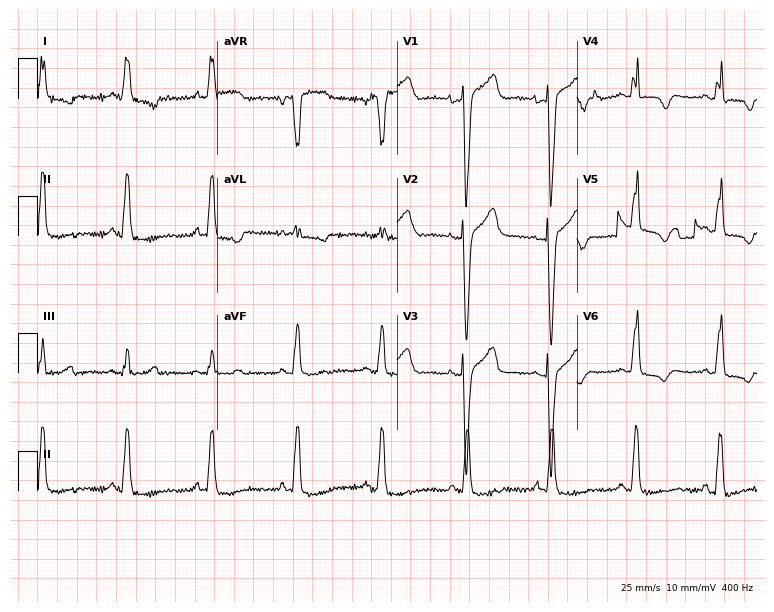
ECG (7.3-second recording at 400 Hz) — a 74-year-old woman. Screened for six findings — first-degree AV block, right bundle branch block, left bundle branch block, sinus bradycardia, atrial fibrillation, sinus tachycardia — none is recorded. Only these six findings were labelled.